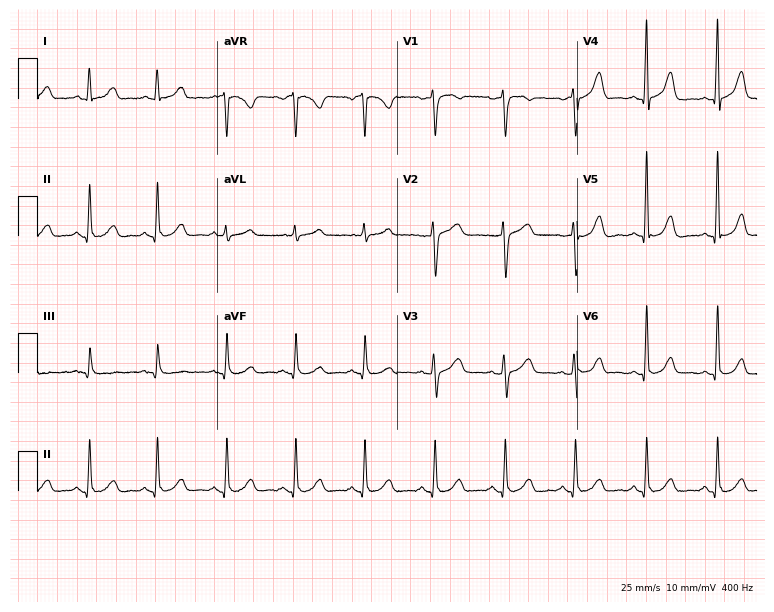
12-lead ECG from a woman, 41 years old. Recorded interpretation: within normal limits.